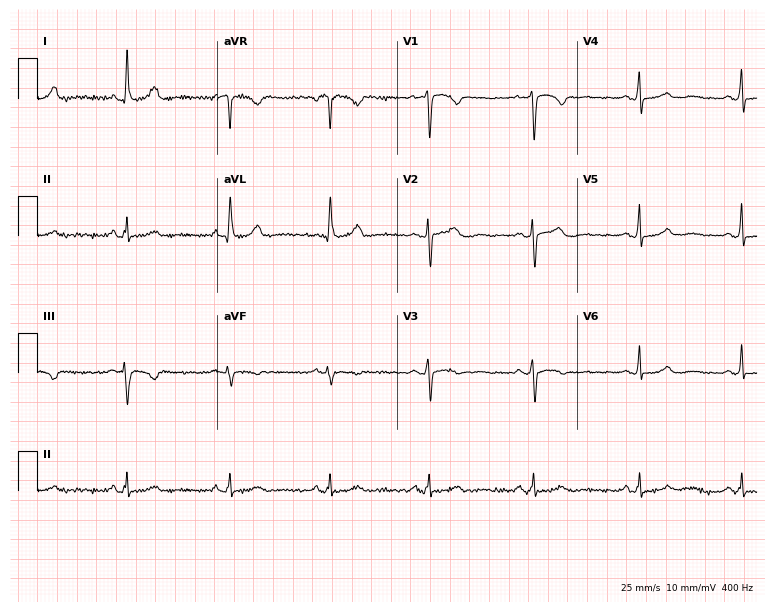
12-lead ECG from a female patient, 57 years old. Recorded interpretation: within normal limits.